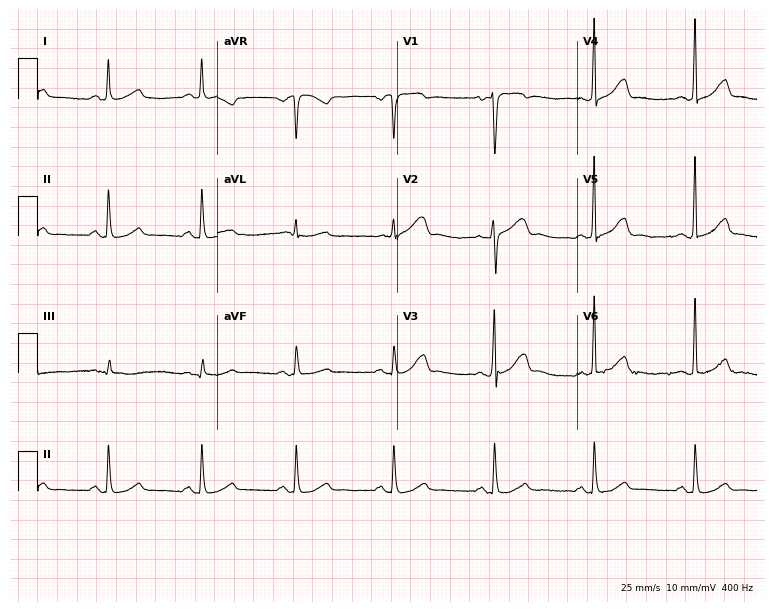
12-lead ECG (7.3-second recording at 400 Hz) from a 63-year-old male. Labelled as a normal ECG.